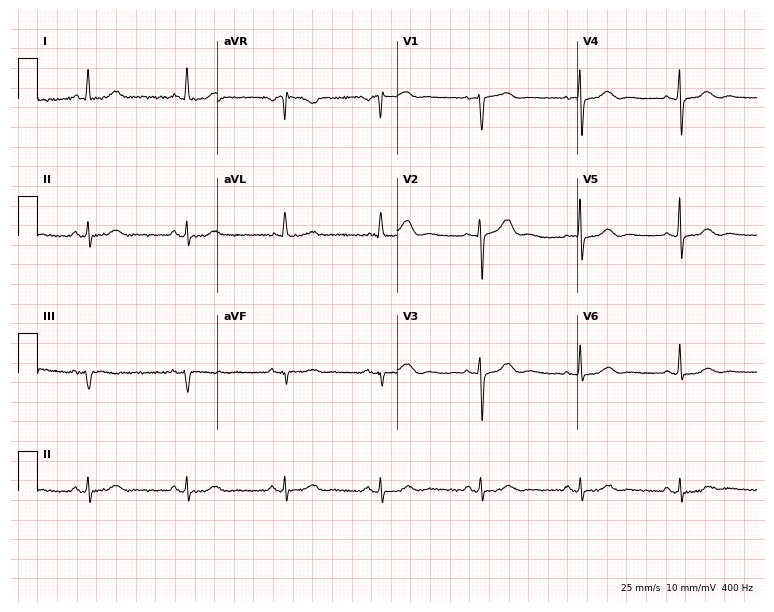
12-lead ECG from a 71-year-old woman (7.3-second recording at 400 Hz). No first-degree AV block, right bundle branch block (RBBB), left bundle branch block (LBBB), sinus bradycardia, atrial fibrillation (AF) or sinus tachycardia recorded for this tracing. Only these six findings were labelled.